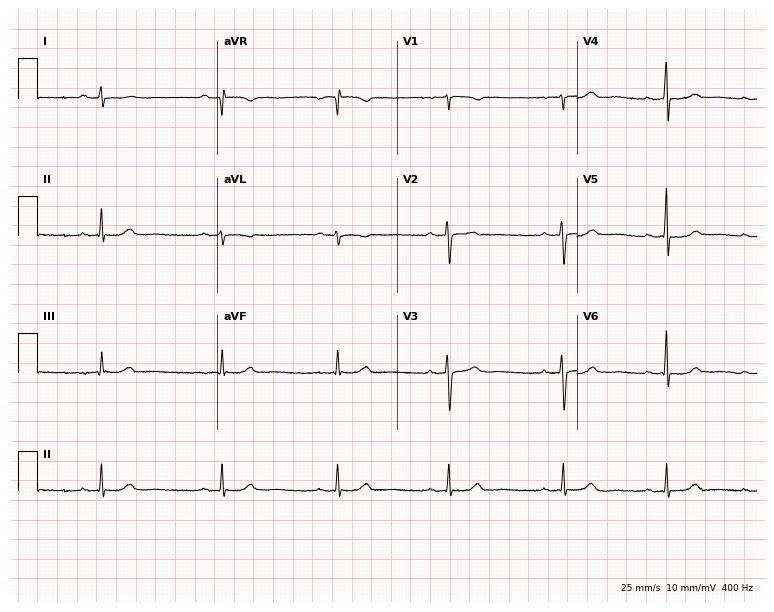
ECG — a man, 30 years old. Screened for six findings — first-degree AV block, right bundle branch block (RBBB), left bundle branch block (LBBB), sinus bradycardia, atrial fibrillation (AF), sinus tachycardia — none is recorded.